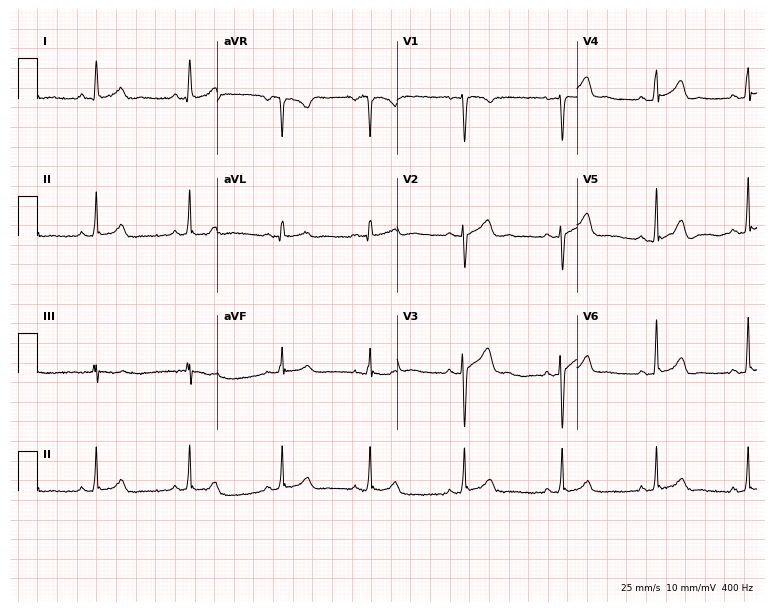
ECG — a 26-year-old female. Screened for six findings — first-degree AV block, right bundle branch block (RBBB), left bundle branch block (LBBB), sinus bradycardia, atrial fibrillation (AF), sinus tachycardia — none is recorded. Only these six findings were labelled.